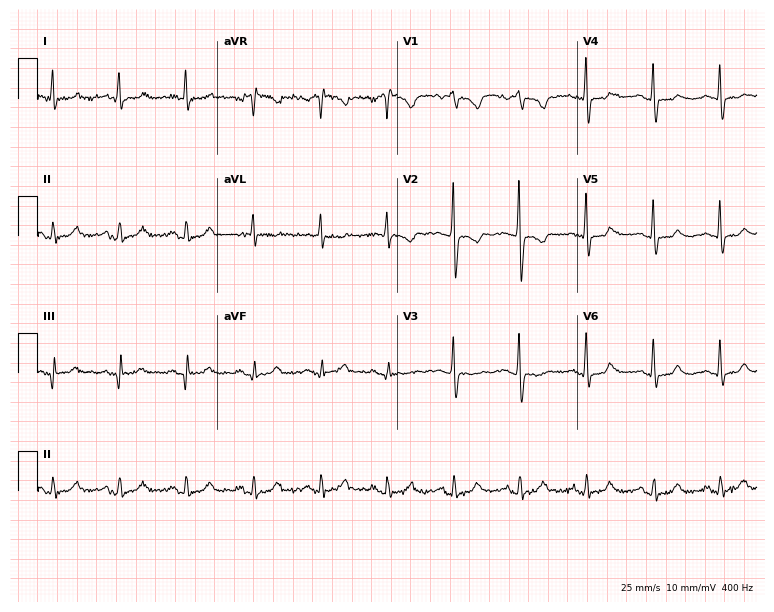
Resting 12-lead electrocardiogram. Patient: a 63-year-old female. None of these six findings is recorded: first-degree AV block, right bundle branch block (RBBB), left bundle branch block (LBBB), sinus bradycardia, atrial fibrillation (AF), sinus tachycardia. Other findings, if any, are not listed.